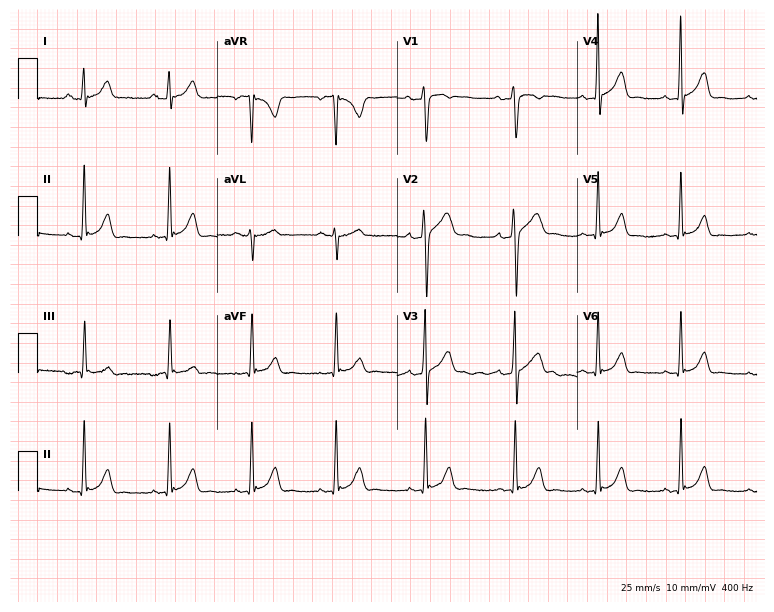
Electrocardiogram (7.3-second recording at 400 Hz), a 20-year-old male patient. Overall reading on record: normal ECG.